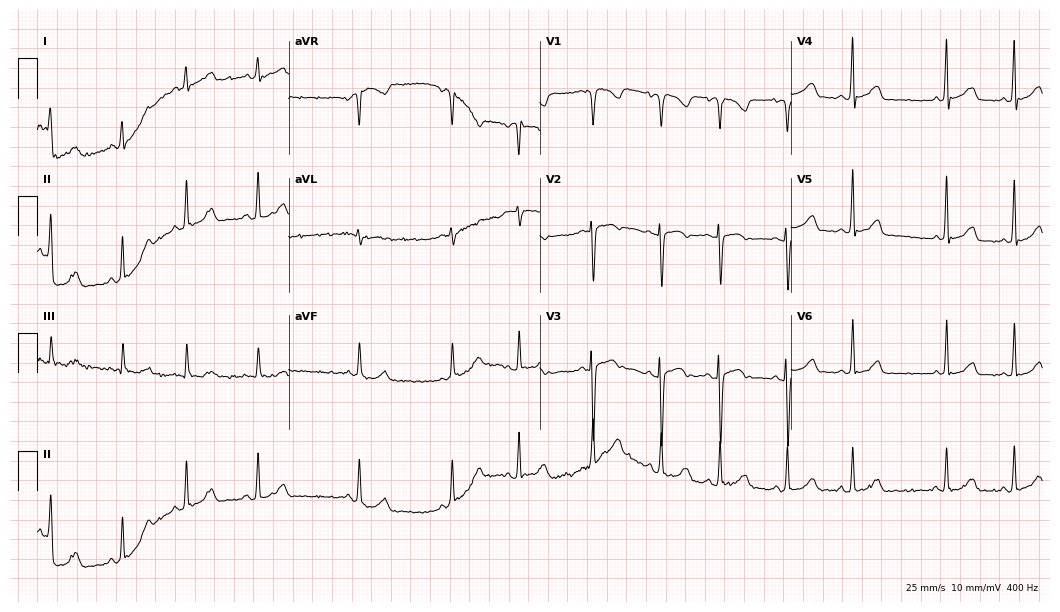
ECG — a woman, 39 years old. Screened for six findings — first-degree AV block, right bundle branch block (RBBB), left bundle branch block (LBBB), sinus bradycardia, atrial fibrillation (AF), sinus tachycardia — none is recorded.